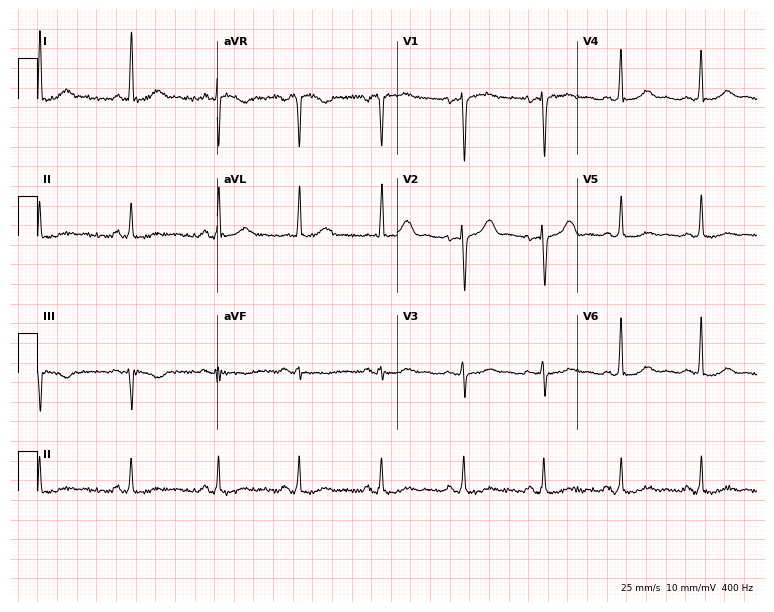
ECG — a 43-year-old female. Labelled as a normal ECG.